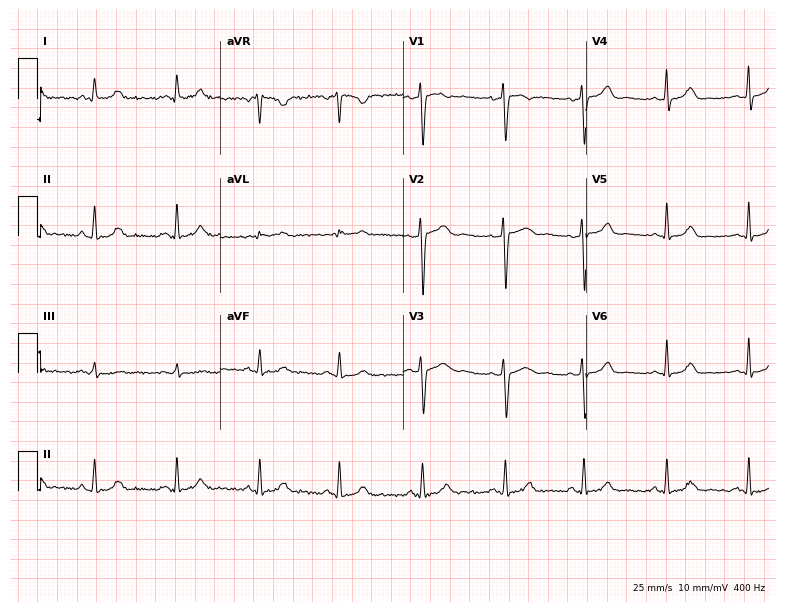
Standard 12-lead ECG recorded from a 31-year-old female patient (7.5-second recording at 400 Hz). Read as a normal ECG.